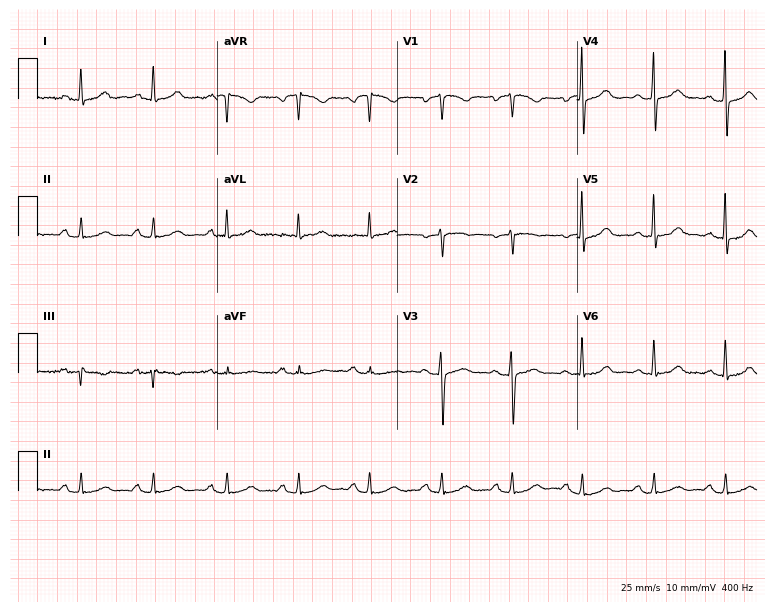
12-lead ECG from a male patient, 65 years old. Screened for six findings — first-degree AV block, right bundle branch block, left bundle branch block, sinus bradycardia, atrial fibrillation, sinus tachycardia — none is recorded.